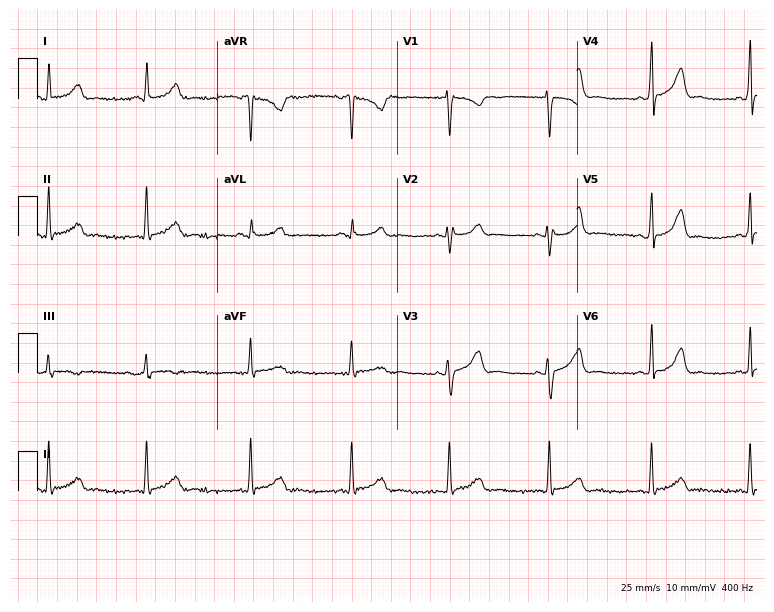
12-lead ECG (7.3-second recording at 400 Hz) from a 22-year-old woman. Screened for six findings — first-degree AV block, right bundle branch block, left bundle branch block, sinus bradycardia, atrial fibrillation, sinus tachycardia — none is recorded.